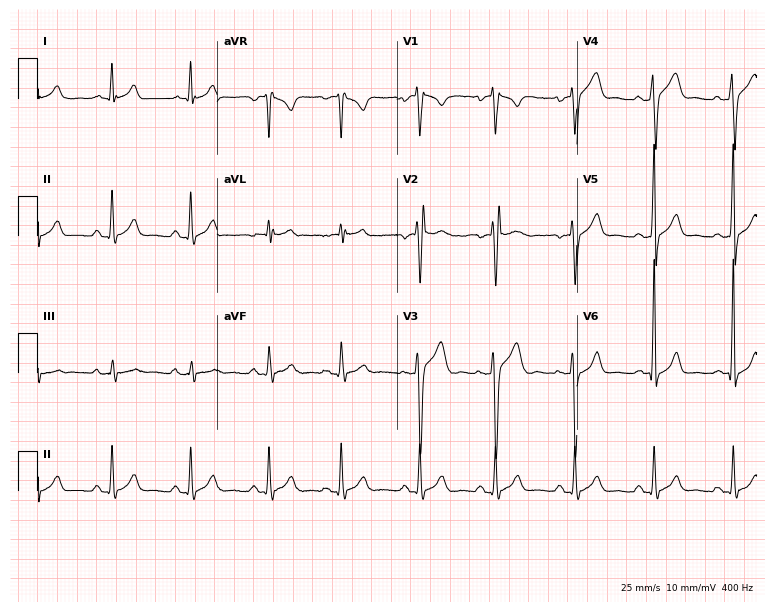
12-lead ECG (7.3-second recording at 400 Hz) from a 40-year-old man. Screened for six findings — first-degree AV block, right bundle branch block, left bundle branch block, sinus bradycardia, atrial fibrillation, sinus tachycardia — none is recorded.